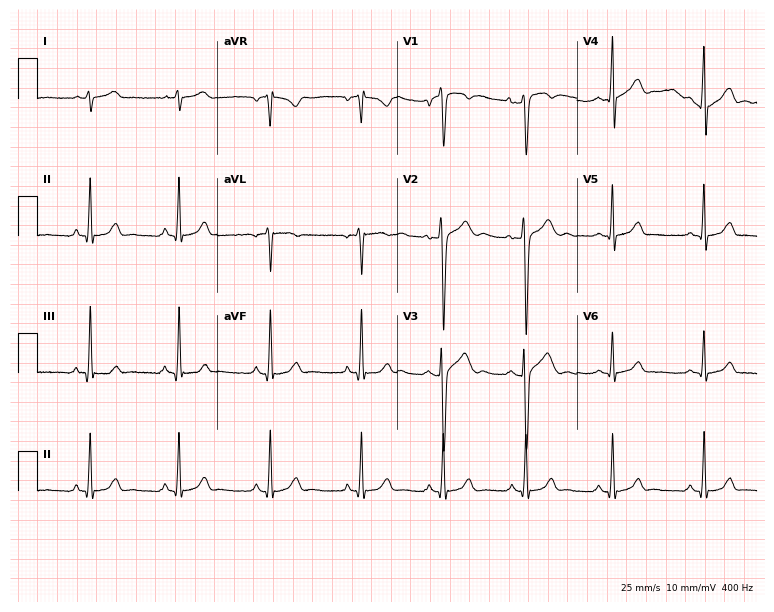
Resting 12-lead electrocardiogram (7.3-second recording at 400 Hz). Patient: a male, 20 years old. Read as a normal ECG.